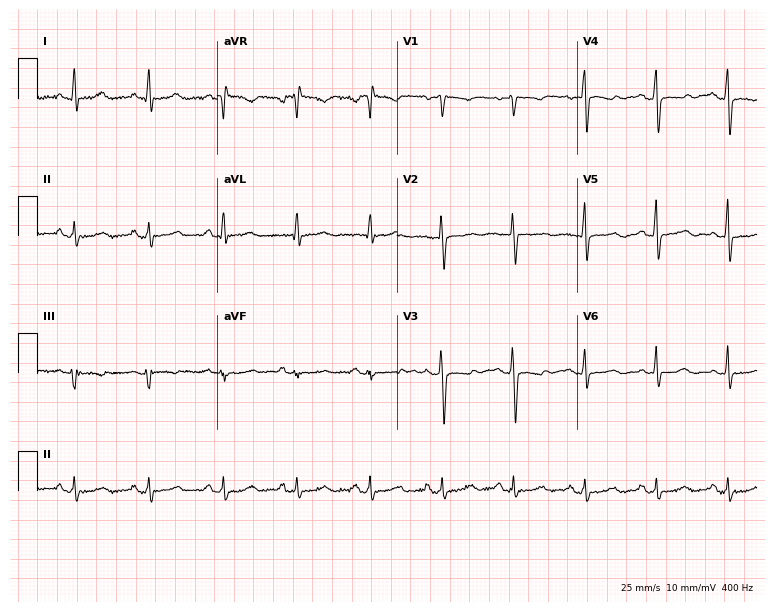
Resting 12-lead electrocardiogram. Patient: a 59-year-old man. None of these six findings is recorded: first-degree AV block, right bundle branch block, left bundle branch block, sinus bradycardia, atrial fibrillation, sinus tachycardia. Findings outside these six are not listed.